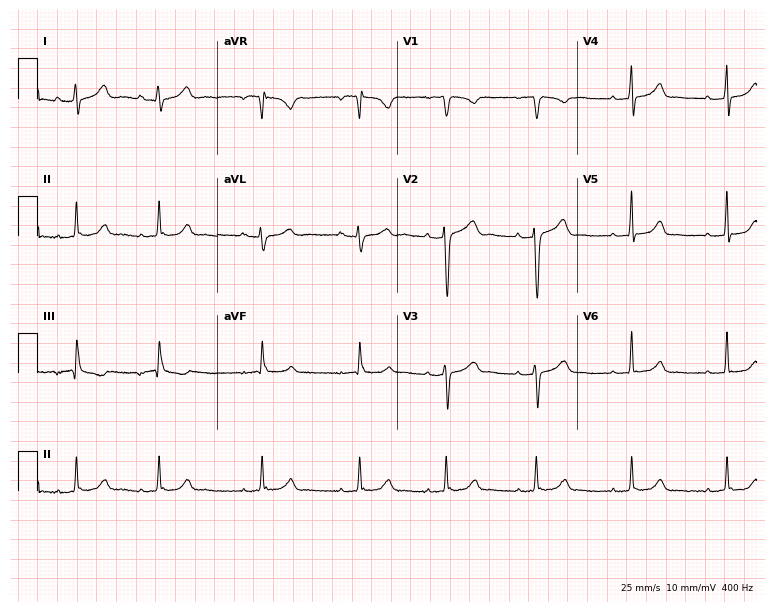
12-lead ECG from a 21-year-old female (7.3-second recording at 400 Hz). No first-degree AV block, right bundle branch block (RBBB), left bundle branch block (LBBB), sinus bradycardia, atrial fibrillation (AF) or sinus tachycardia recorded for this tracing. Other findings, if any, are not listed.